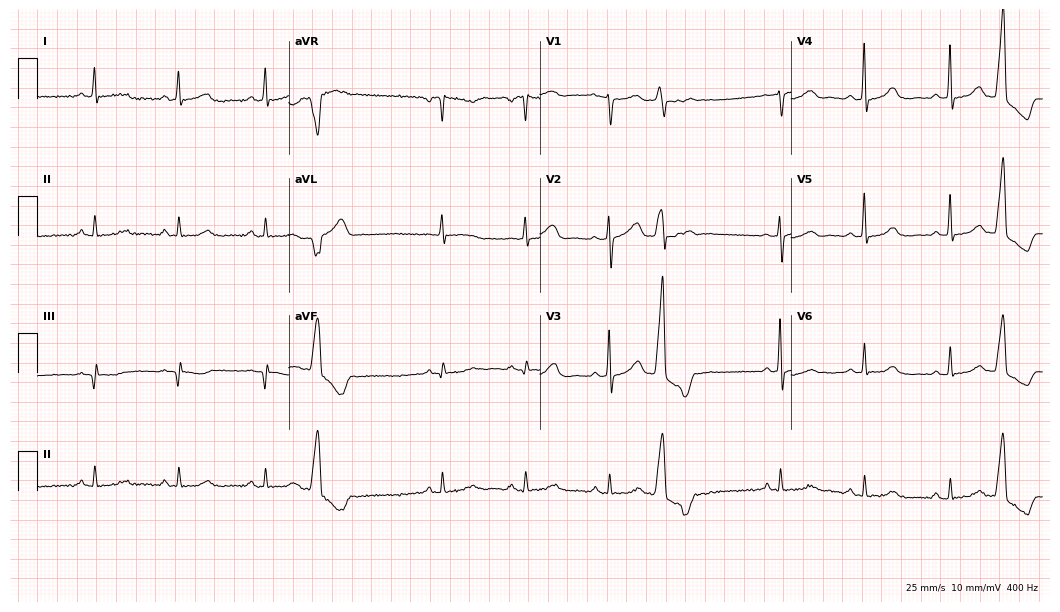
ECG (10.2-second recording at 400 Hz) — a female, 58 years old. Screened for six findings — first-degree AV block, right bundle branch block, left bundle branch block, sinus bradycardia, atrial fibrillation, sinus tachycardia — none is recorded. Only these six findings were labelled.